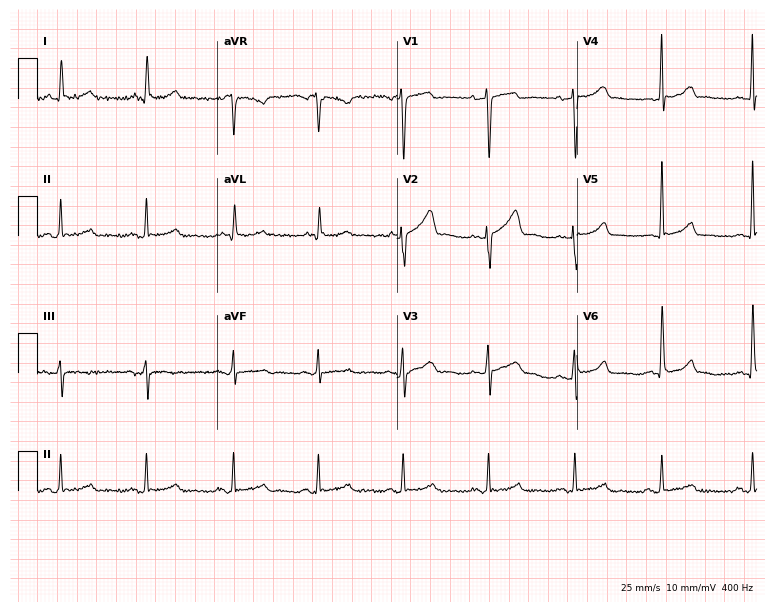
Resting 12-lead electrocardiogram (7.3-second recording at 400 Hz). Patient: a 45-year-old woman. Read as a normal ECG.